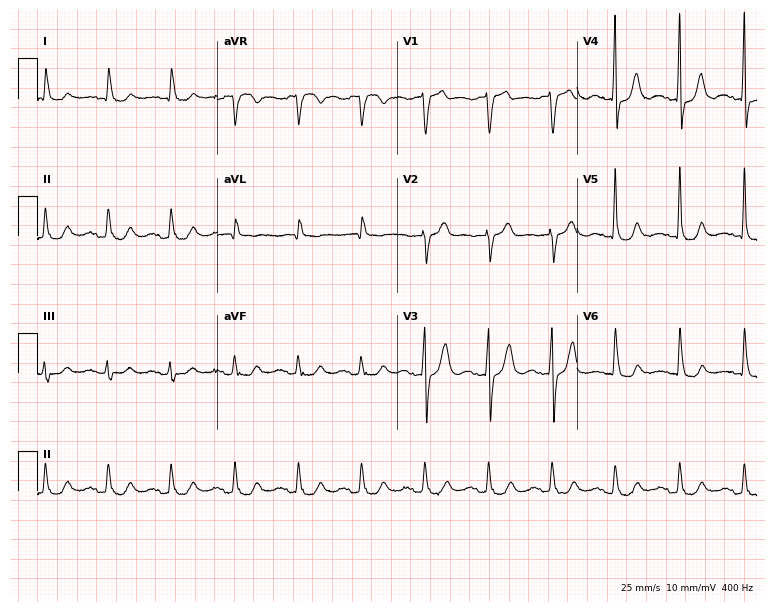
Resting 12-lead electrocardiogram (7.3-second recording at 400 Hz). Patient: a 77-year-old man. None of these six findings is recorded: first-degree AV block, right bundle branch block, left bundle branch block, sinus bradycardia, atrial fibrillation, sinus tachycardia.